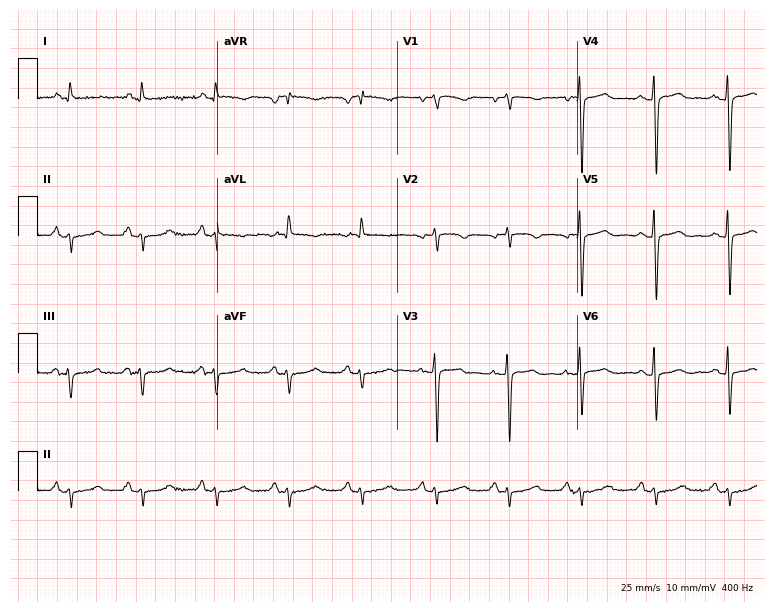
Standard 12-lead ECG recorded from a female patient, 58 years old. None of these six findings is recorded: first-degree AV block, right bundle branch block, left bundle branch block, sinus bradycardia, atrial fibrillation, sinus tachycardia. Other findings, if any, are not listed.